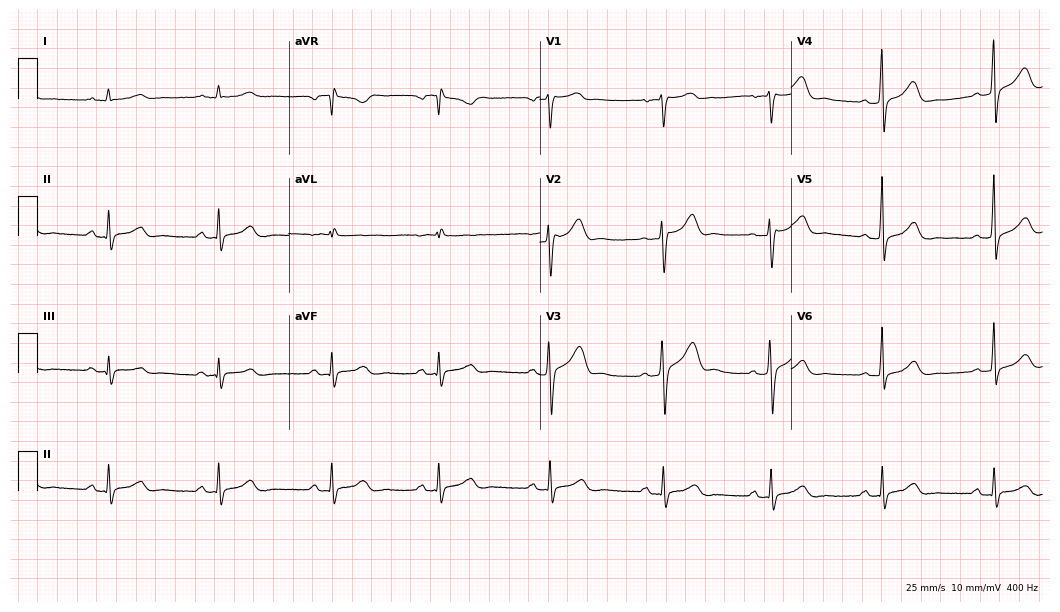
12-lead ECG (10.2-second recording at 400 Hz) from a 40-year-old man. Labelled as a normal ECG.